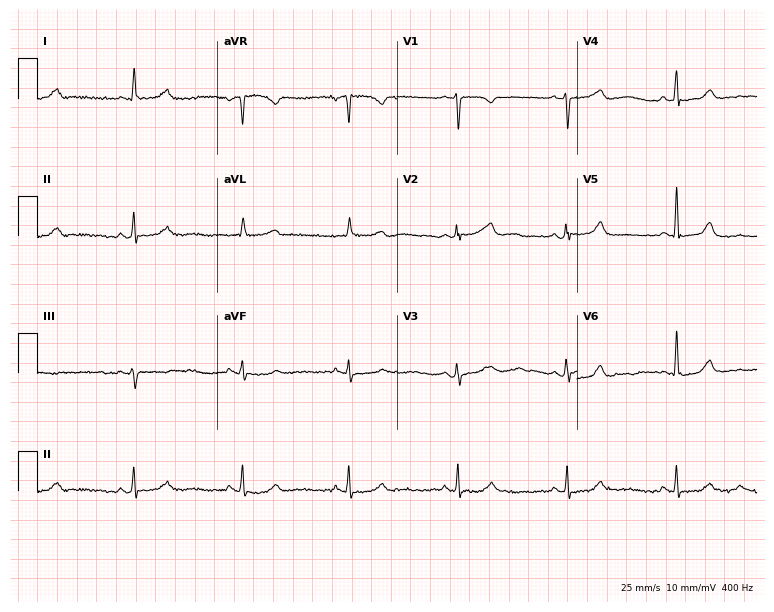
12-lead ECG from a female, 66 years old. Labelled as a normal ECG.